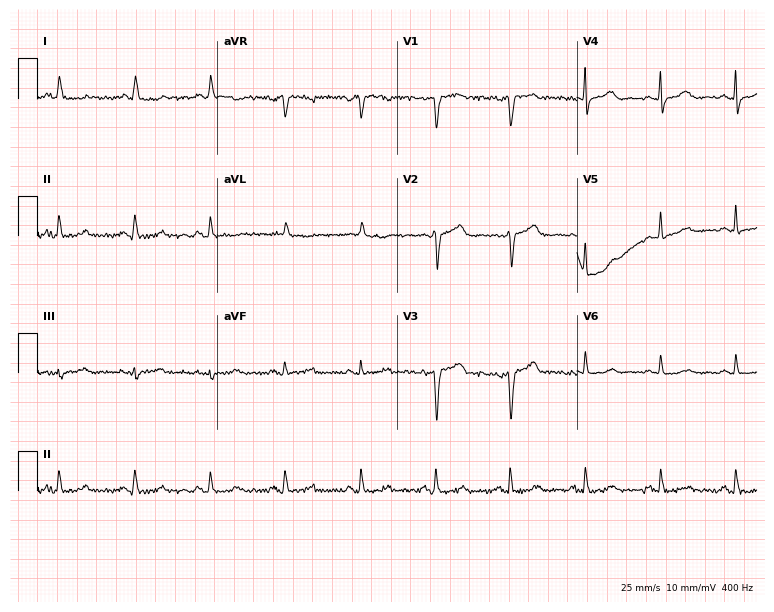
12-lead ECG (7.3-second recording at 400 Hz) from a woman, 80 years old. Screened for six findings — first-degree AV block, right bundle branch block, left bundle branch block, sinus bradycardia, atrial fibrillation, sinus tachycardia — none is recorded.